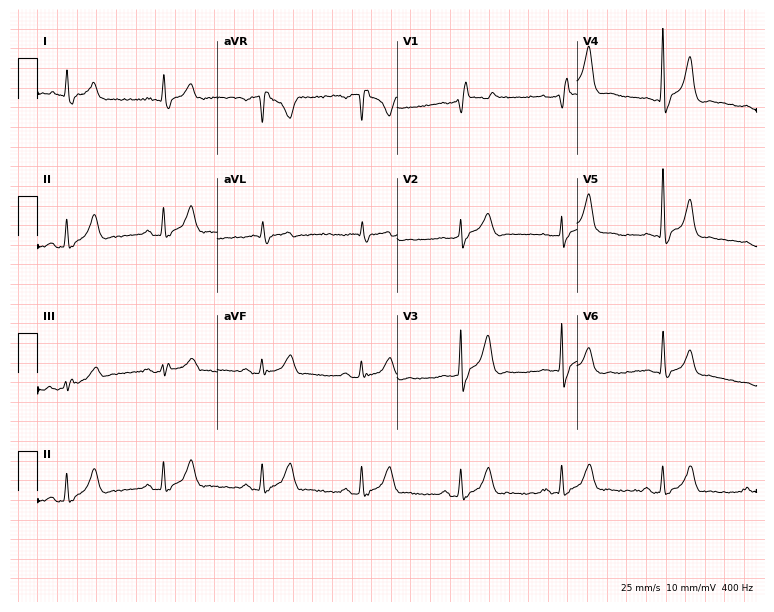
Electrocardiogram (7.3-second recording at 400 Hz), a 71-year-old male. Interpretation includes right bundle branch block.